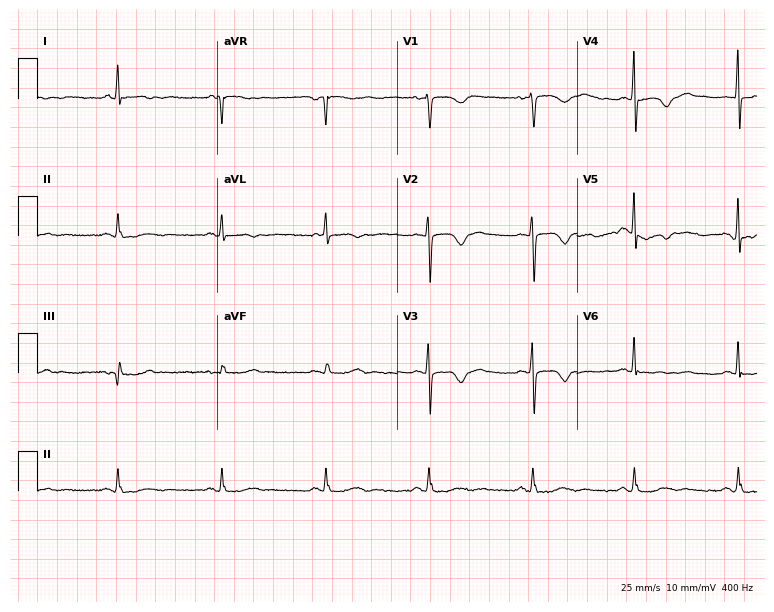
Resting 12-lead electrocardiogram. Patient: a female, 74 years old. None of these six findings is recorded: first-degree AV block, right bundle branch block (RBBB), left bundle branch block (LBBB), sinus bradycardia, atrial fibrillation (AF), sinus tachycardia. Findings outside these six are not listed.